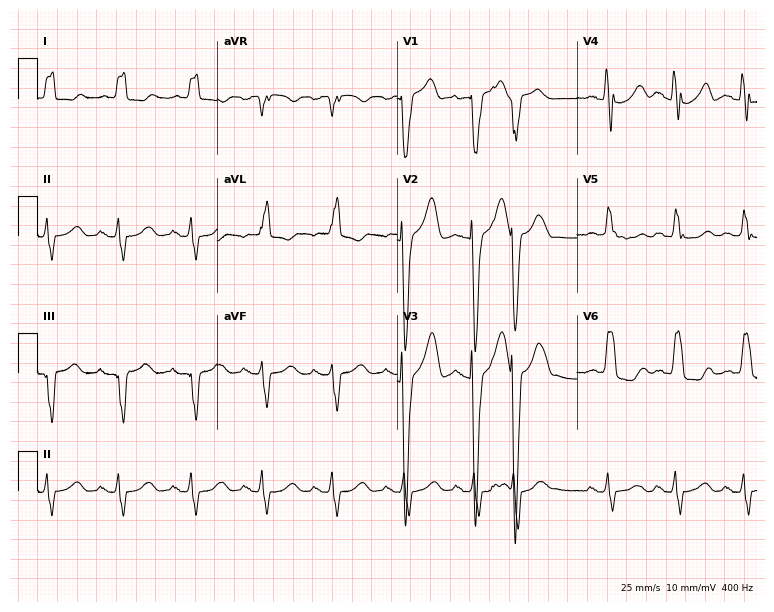
12-lead ECG from a female, 82 years old. Findings include left bundle branch block.